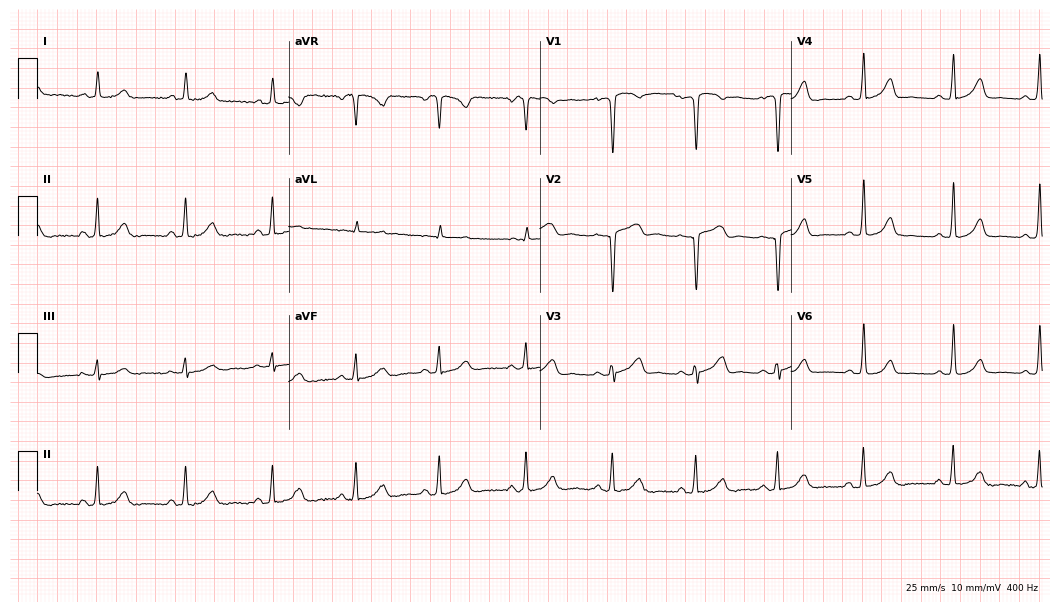
ECG (10.2-second recording at 400 Hz) — a 42-year-old woman. Labelled as a normal ECG.